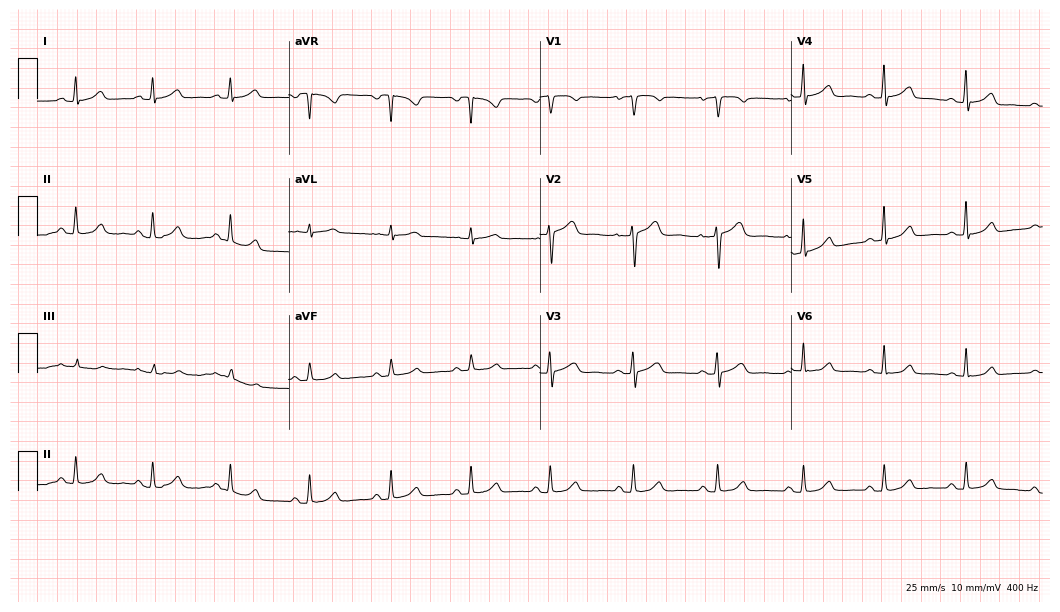
ECG — a 38-year-old female. Screened for six findings — first-degree AV block, right bundle branch block (RBBB), left bundle branch block (LBBB), sinus bradycardia, atrial fibrillation (AF), sinus tachycardia — none is recorded. Only these six findings were labelled.